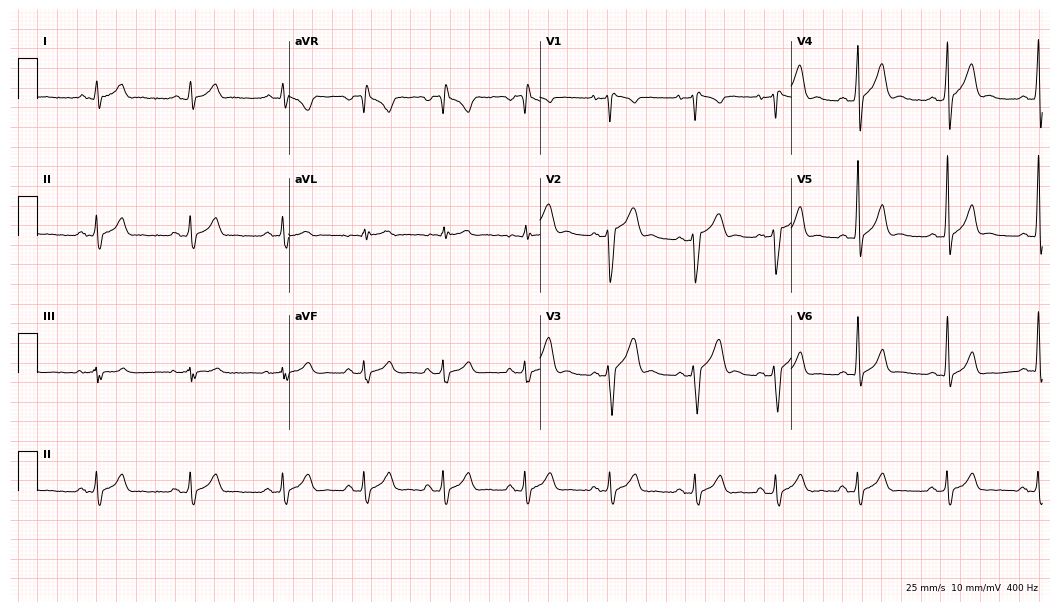
Standard 12-lead ECG recorded from a 21-year-old man. Read as a normal ECG.